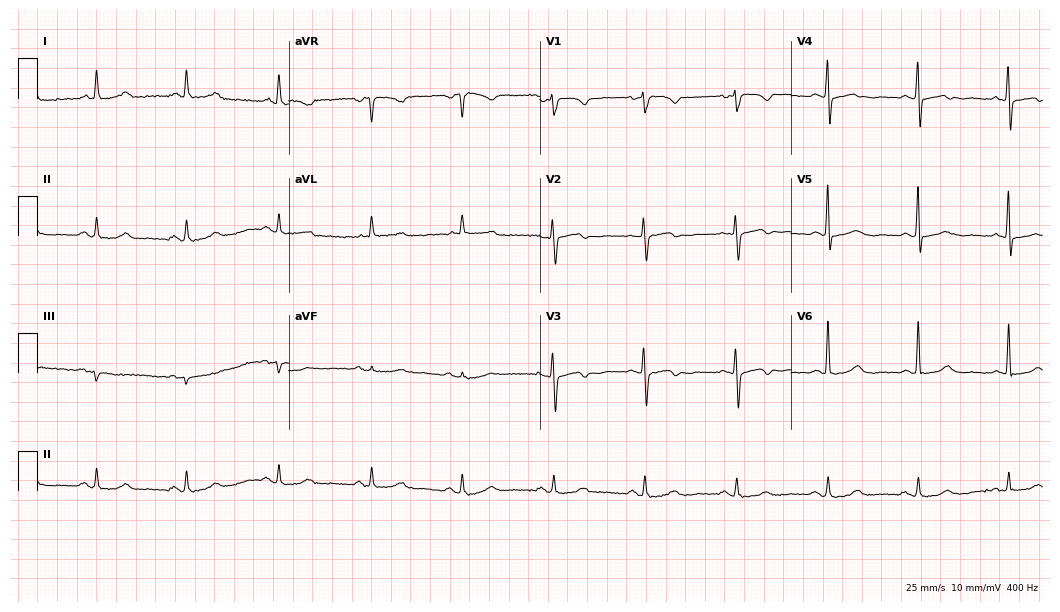
12-lead ECG from an 84-year-old female. Labelled as a normal ECG.